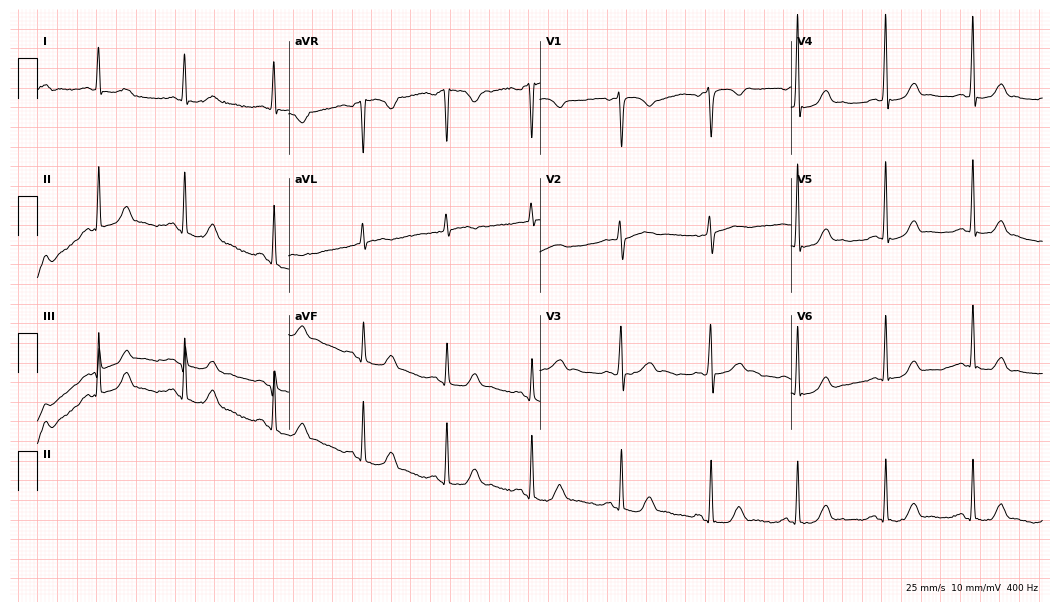
Standard 12-lead ECG recorded from a woman, 48 years old. Read as a normal ECG.